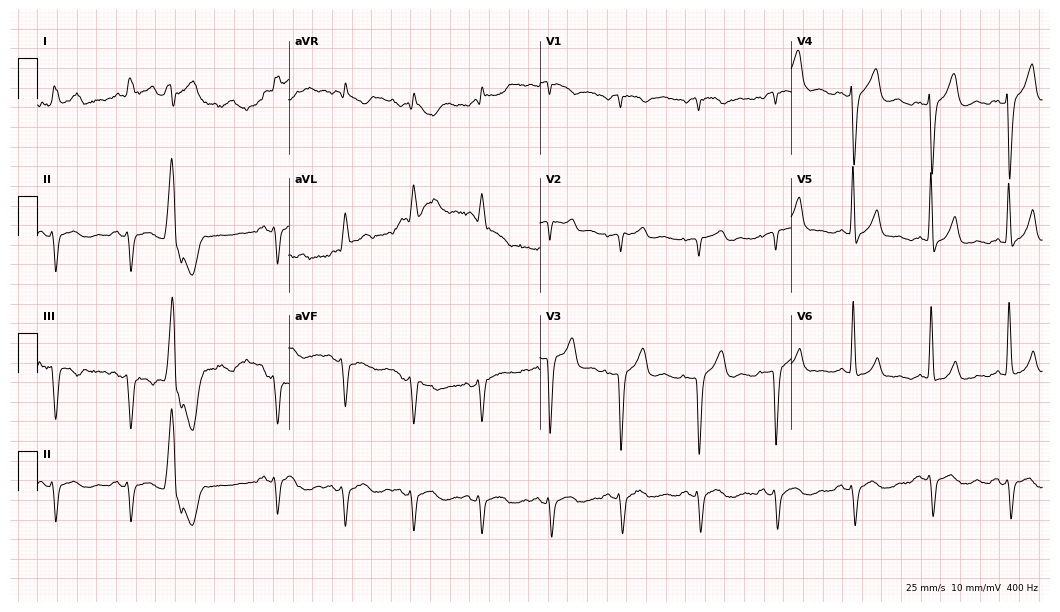
Standard 12-lead ECG recorded from a man, 46 years old. None of these six findings is recorded: first-degree AV block, right bundle branch block, left bundle branch block, sinus bradycardia, atrial fibrillation, sinus tachycardia. Other findings, if any, are not listed.